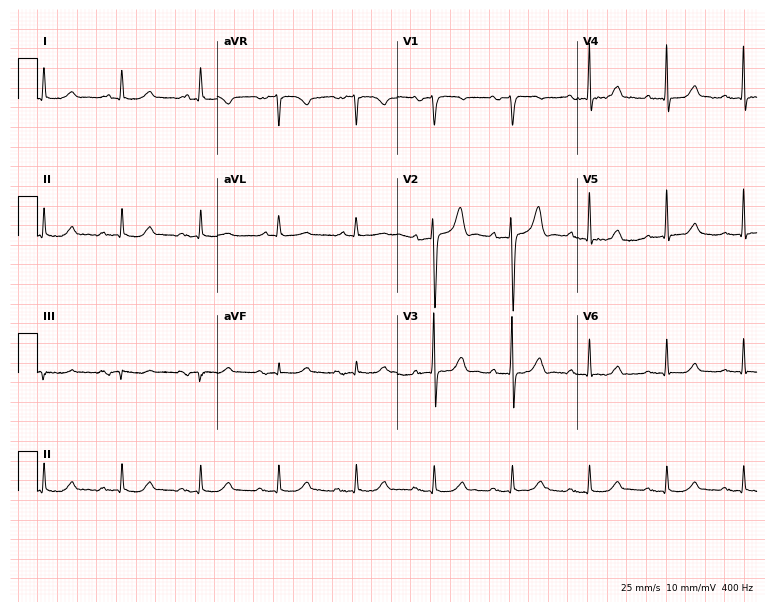
Electrocardiogram, a male patient, 84 years old. Overall reading on record: normal ECG.